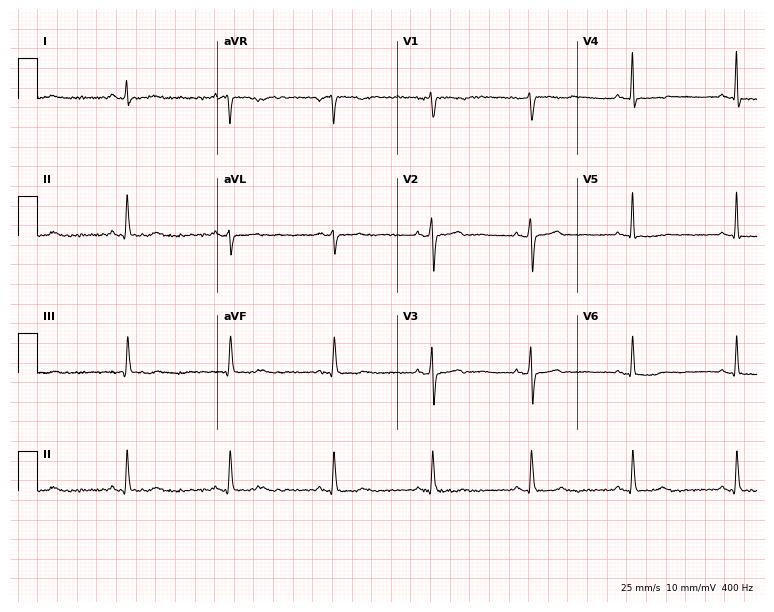
Electrocardiogram, a 52-year-old female. Of the six screened findings (first-degree AV block, right bundle branch block, left bundle branch block, sinus bradycardia, atrial fibrillation, sinus tachycardia), none is recorded.